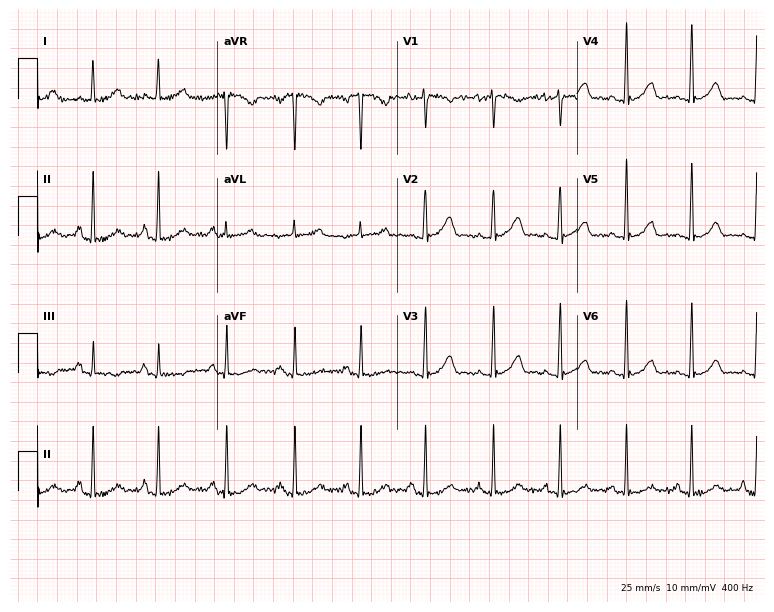
Standard 12-lead ECG recorded from a female patient, 33 years old (7.3-second recording at 400 Hz). Read as a normal ECG.